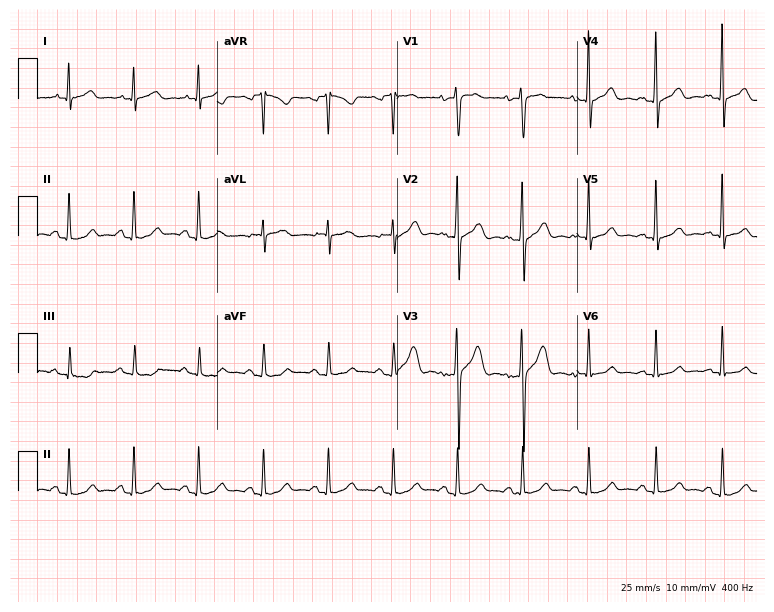
12-lead ECG from a 63-year-old male patient (7.3-second recording at 400 Hz). Recorded interpretation: within normal limits.